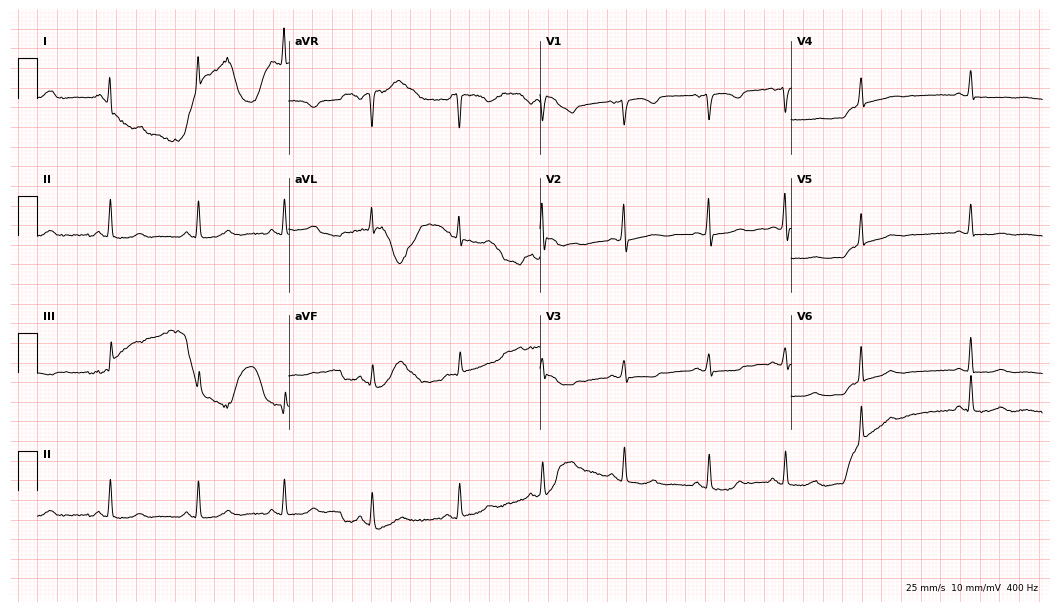
12-lead ECG from a 50-year-old female patient. Recorded interpretation: within normal limits.